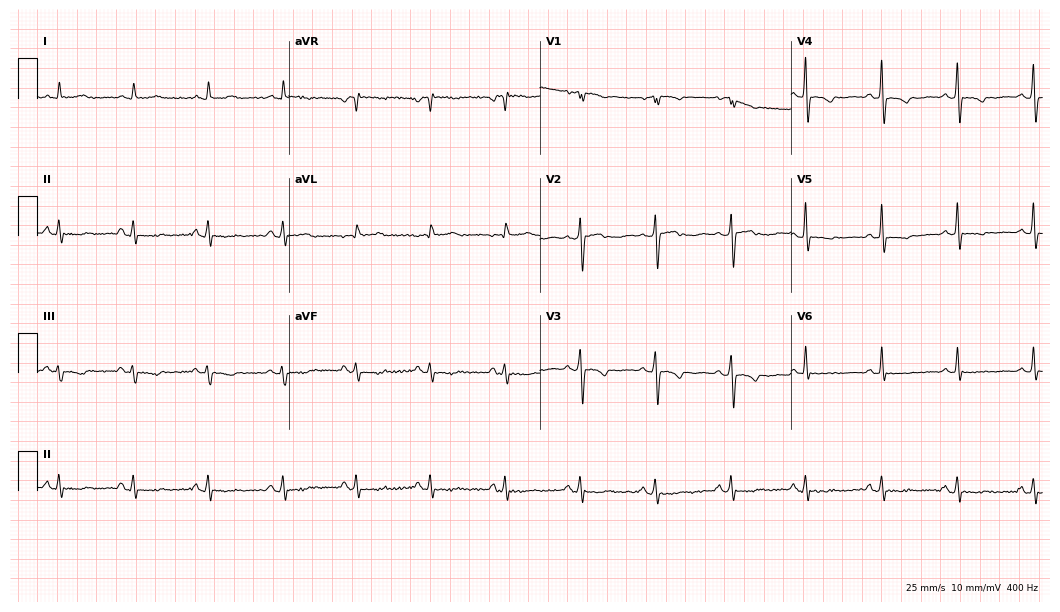
12-lead ECG (10.2-second recording at 400 Hz) from a 68-year-old female. Screened for six findings — first-degree AV block, right bundle branch block, left bundle branch block, sinus bradycardia, atrial fibrillation, sinus tachycardia — none is recorded.